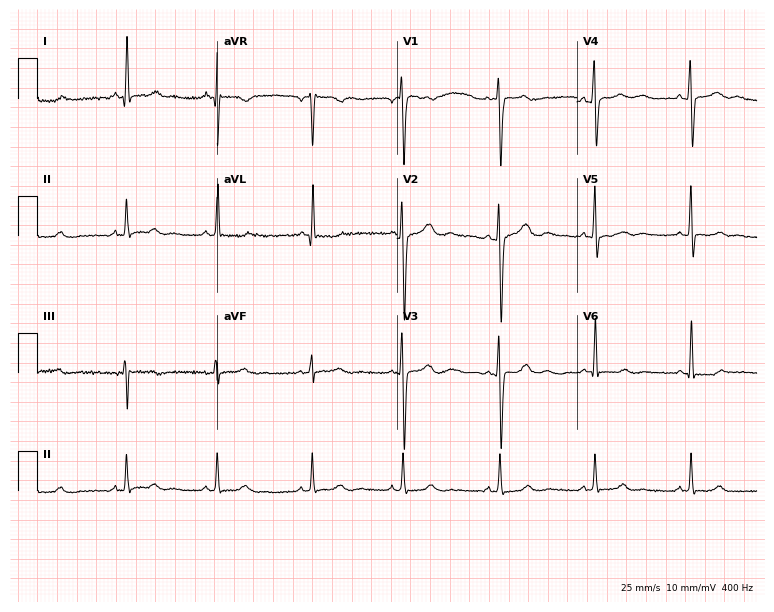
ECG — a 32-year-old woman. Labelled as a normal ECG.